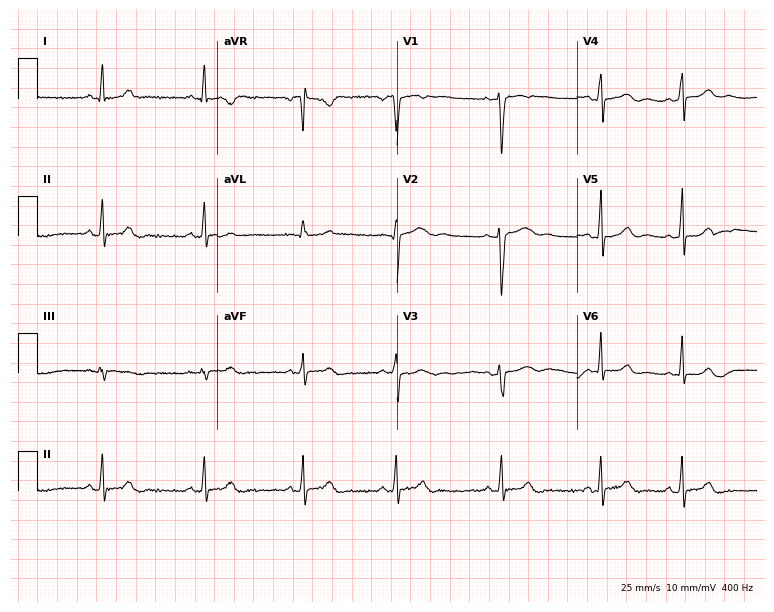
12-lead ECG from a female, 17 years old. Recorded interpretation: within normal limits.